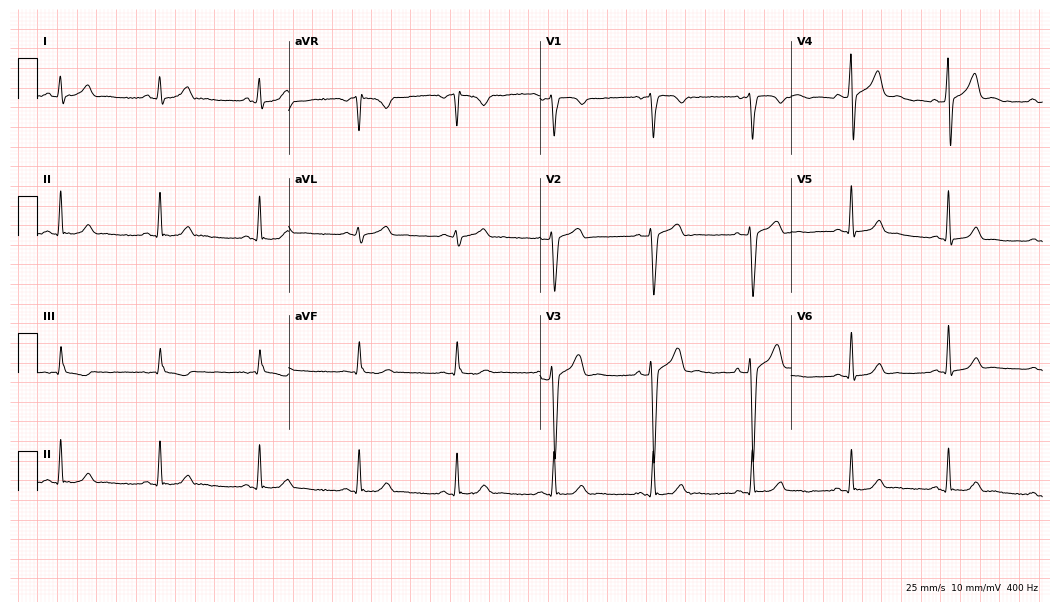
ECG (10.2-second recording at 400 Hz) — a 53-year-old female patient. Screened for six findings — first-degree AV block, right bundle branch block, left bundle branch block, sinus bradycardia, atrial fibrillation, sinus tachycardia — none is recorded. Findings outside these six are not listed.